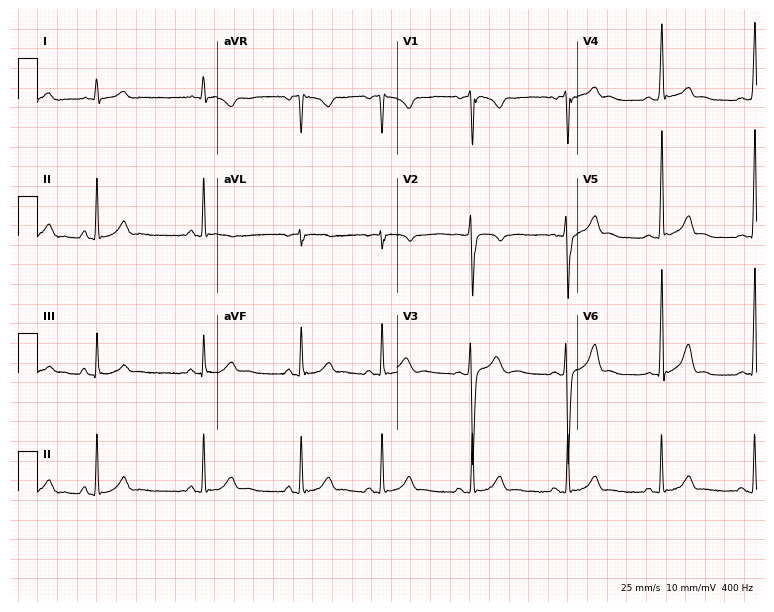
12-lead ECG from a man, 19 years old. Recorded interpretation: within normal limits.